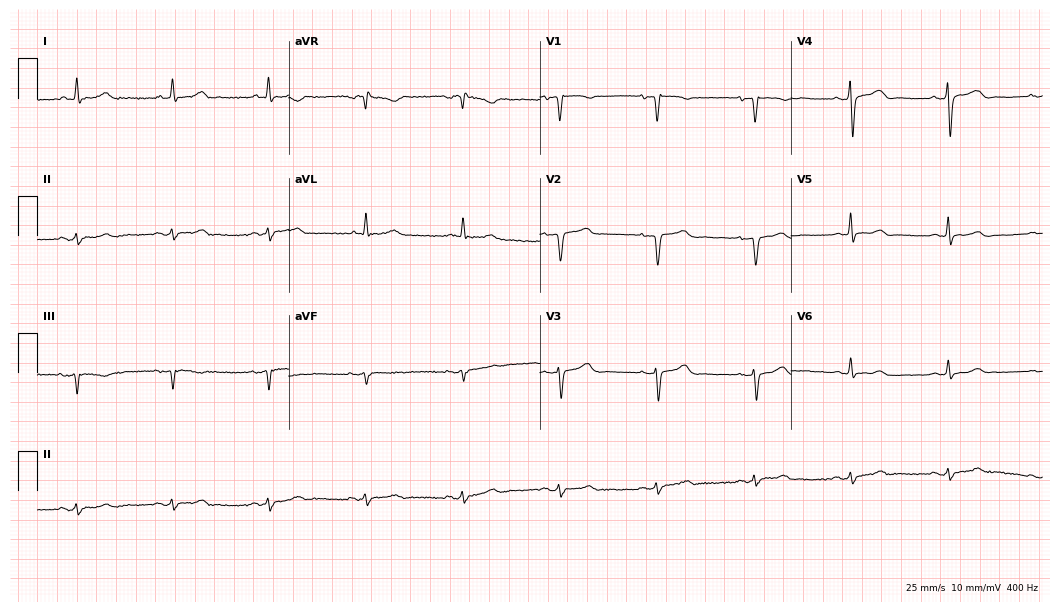
12-lead ECG from a 78-year-old woman (10.2-second recording at 400 Hz). No first-degree AV block, right bundle branch block, left bundle branch block, sinus bradycardia, atrial fibrillation or sinus tachycardia recorded for this tracing.